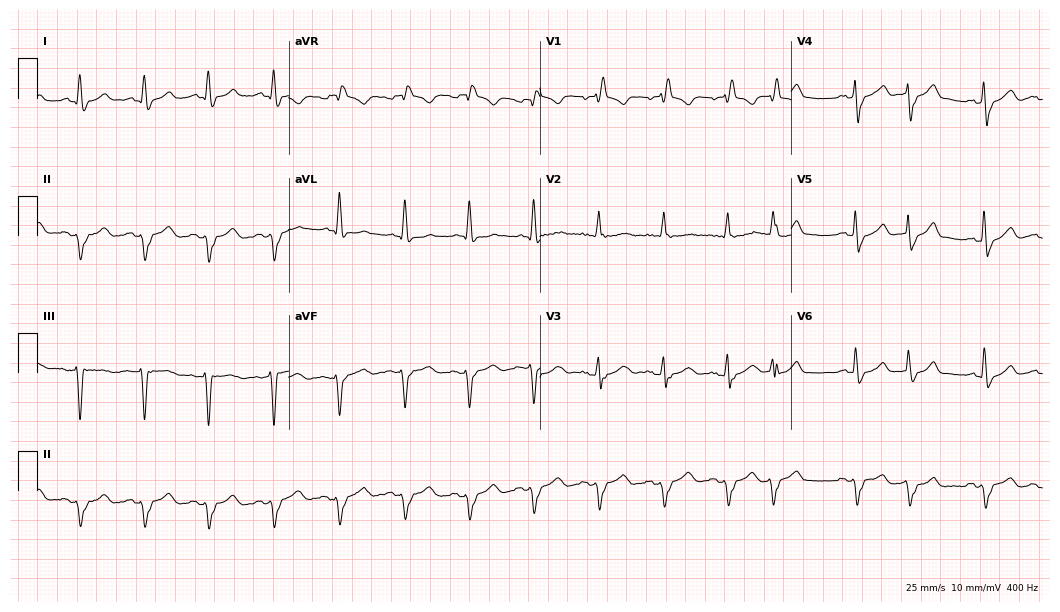
Electrocardiogram (10.2-second recording at 400 Hz), a female, 85 years old. Interpretation includes right bundle branch block (RBBB).